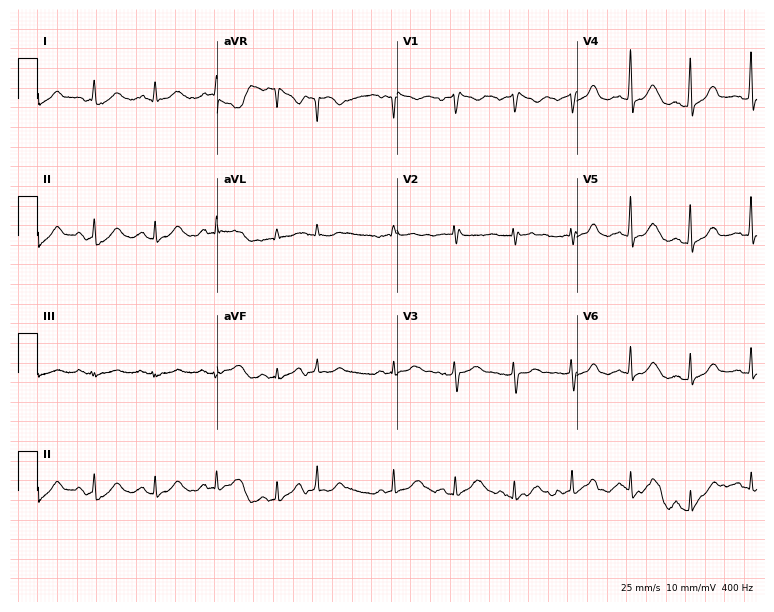
ECG — a female patient, 50 years old. Screened for six findings — first-degree AV block, right bundle branch block (RBBB), left bundle branch block (LBBB), sinus bradycardia, atrial fibrillation (AF), sinus tachycardia — none is recorded. Only these six findings were labelled.